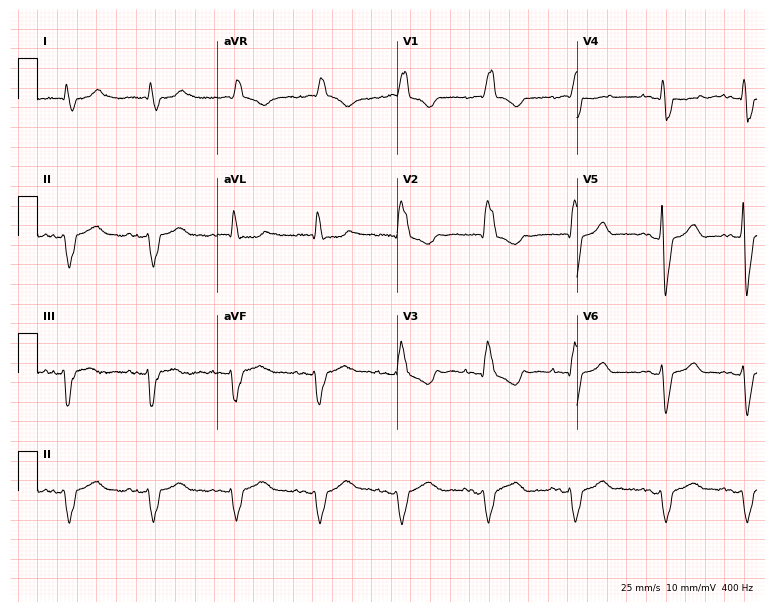
ECG (7.3-second recording at 400 Hz) — a 71-year-old male. Findings include right bundle branch block.